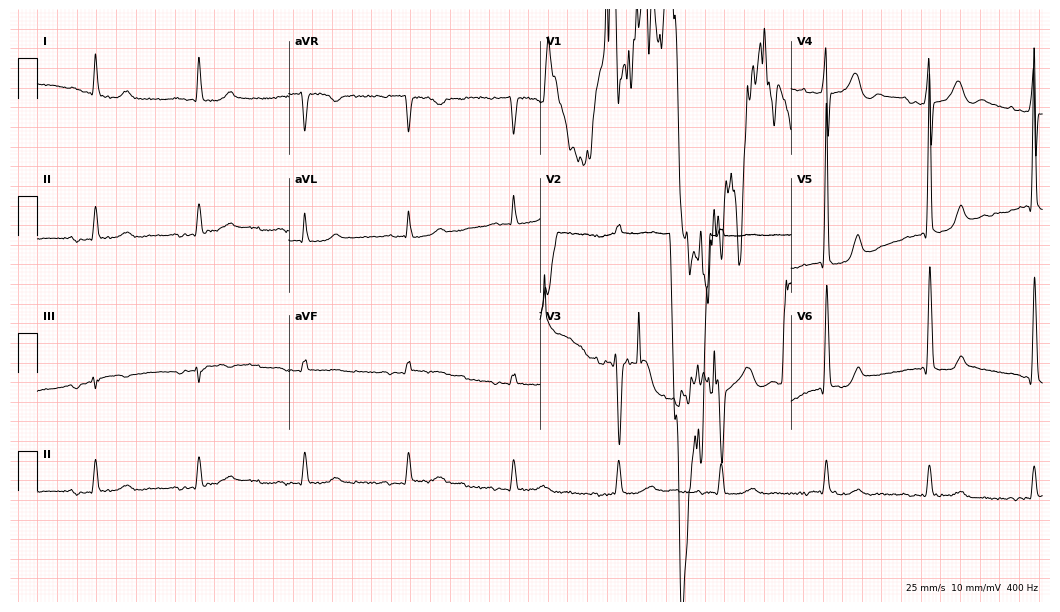
Resting 12-lead electrocardiogram (10.2-second recording at 400 Hz). Patient: a male, 61 years old. None of these six findings is recorded: first-degree AV block, right bundle branch block, left bundle branch block, sinus bradycardia, atrial fibrillation, sinus tachycardia.